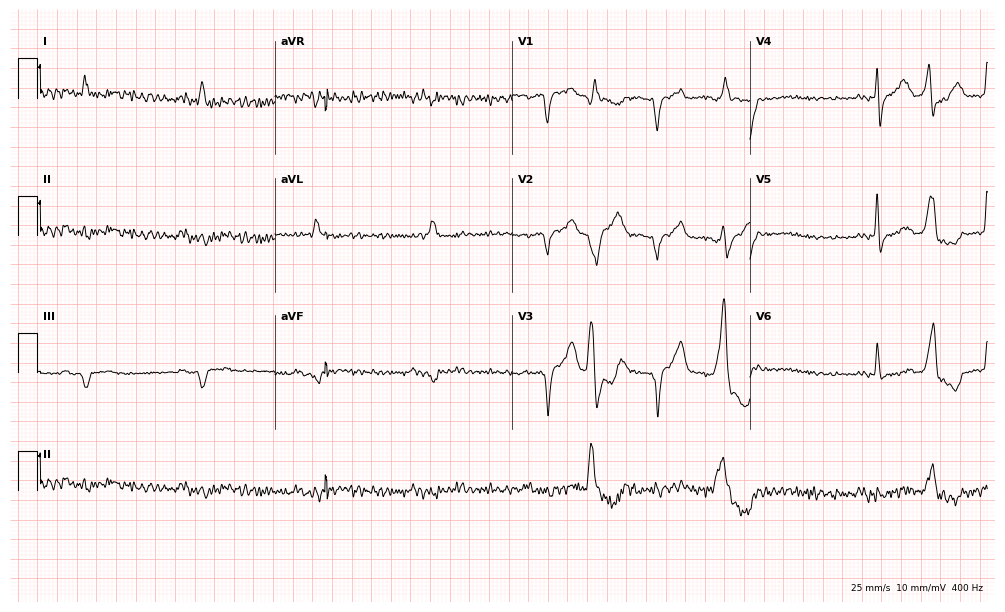
Standard 12-lead ECG recorded from an 82-year-old male patient. None of these six findings is recorded: first-degree AV block, right bundle branch block, left bundle branch block, sinus bradycardia, atrial fibrillation, sinus tachycardia.